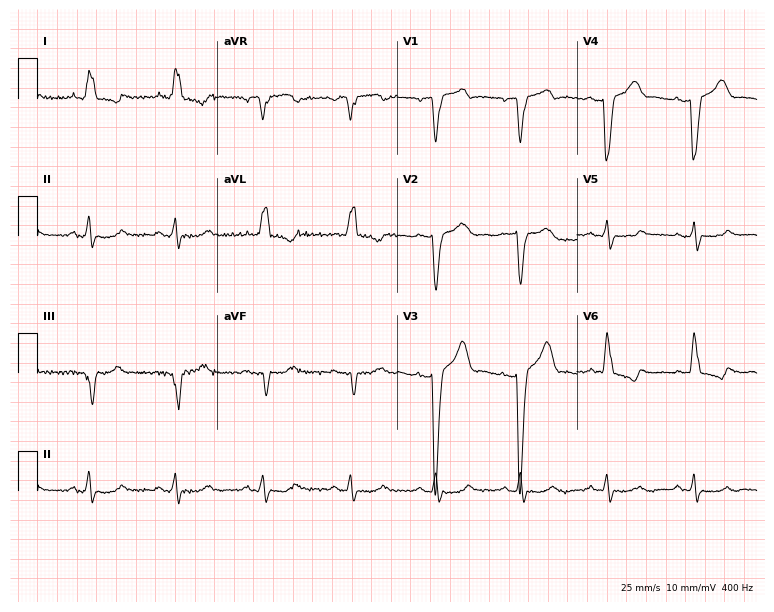
ECG (7.3-second recording at 400 Hz) — a 76-year-old woman. Findings include left bundle branch block (LBBB).